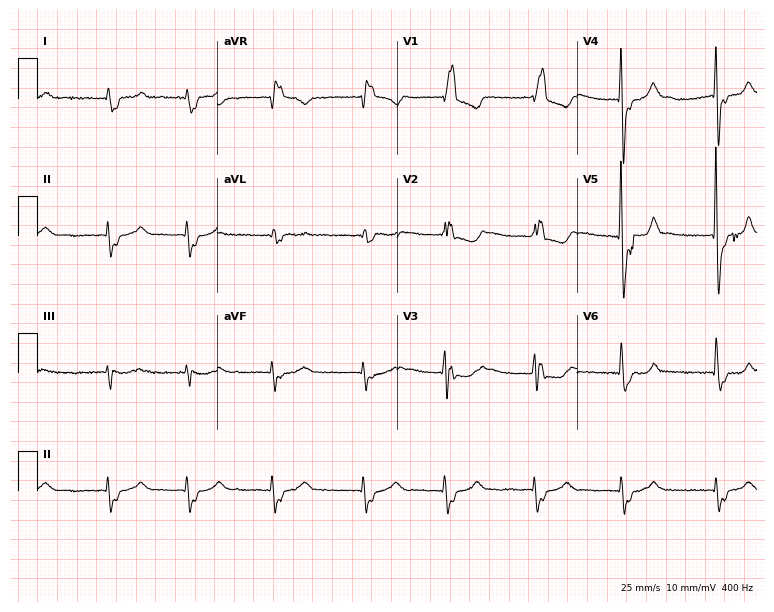
12-lead ECG (7.3-second recording at 400 Hz) from a 79-year-old female patient. Findings include right bundle branch block.